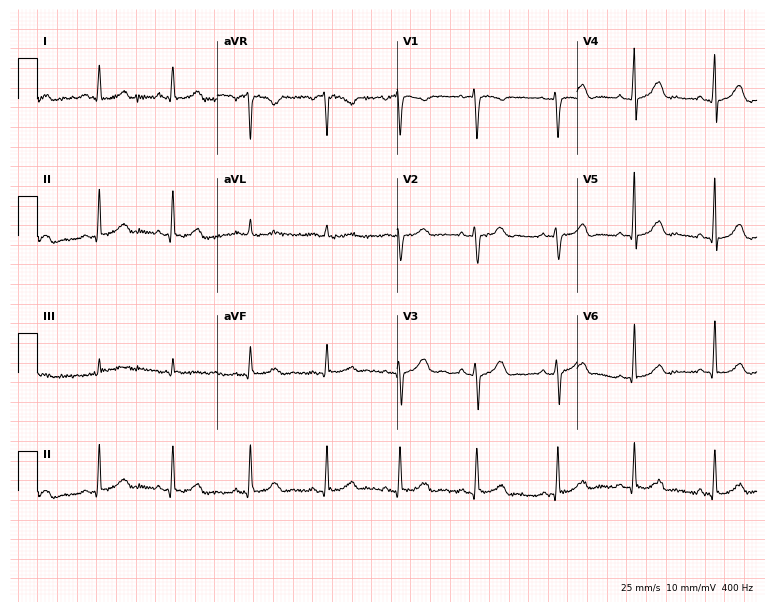
12-lead ECG from a female patient, 41 years old (7.3-second recording at 400 Hz). No first-degree AV block, right bundle branch block, left bundle branch block, sinus bradycardia, atrial fibrillation or sinus tachycardia recorded for this tracing. Only these six findings were labelled.